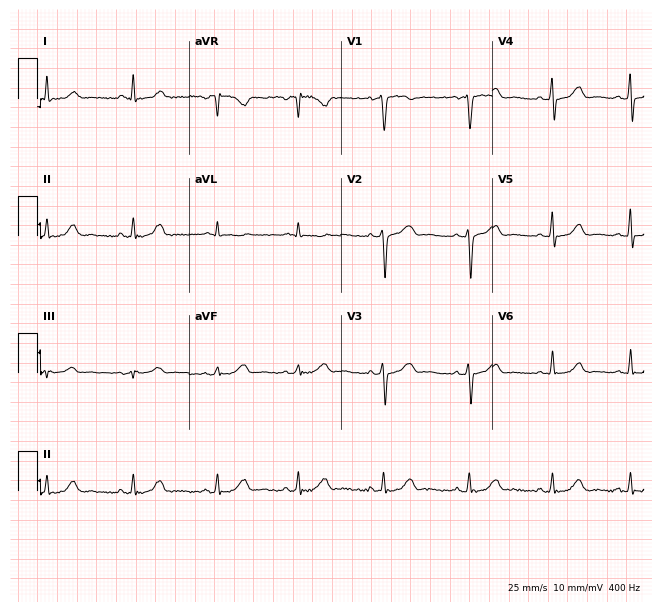
Standard 12-lead ECG recorded from a female patient, 39 years old (6.2-second recording at 400 Hz). None of these six findings is recorded: first-degree AV block, right bundle branch block, left bundle branch block, sinus bradycardia, atrial fibrillation, sinus tachycardia. Other findings, if any, are not listed.